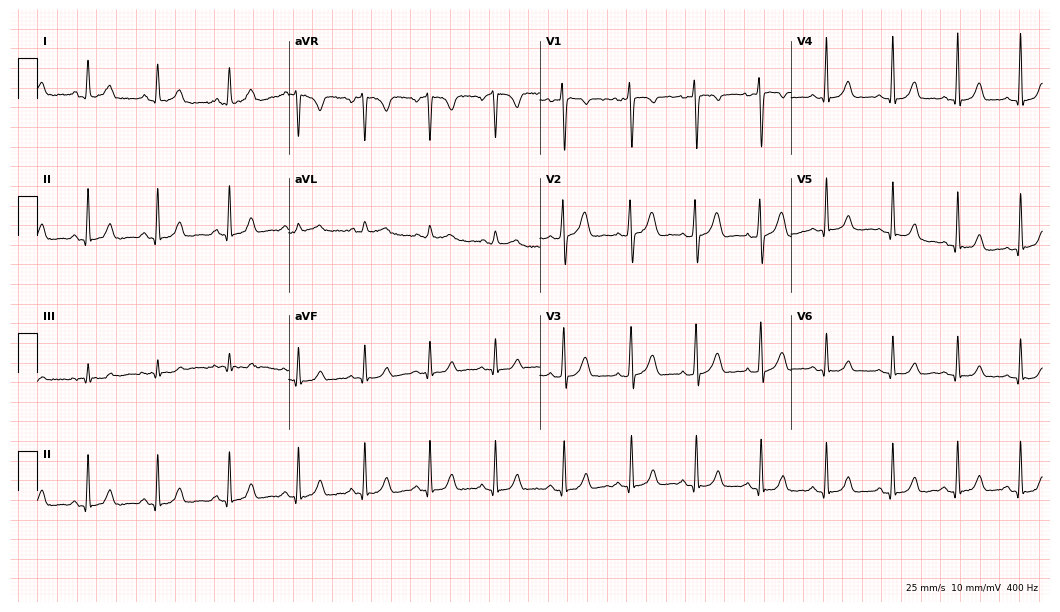
ECG — a 27-year-old female patient. Labelled as a normal ECG.